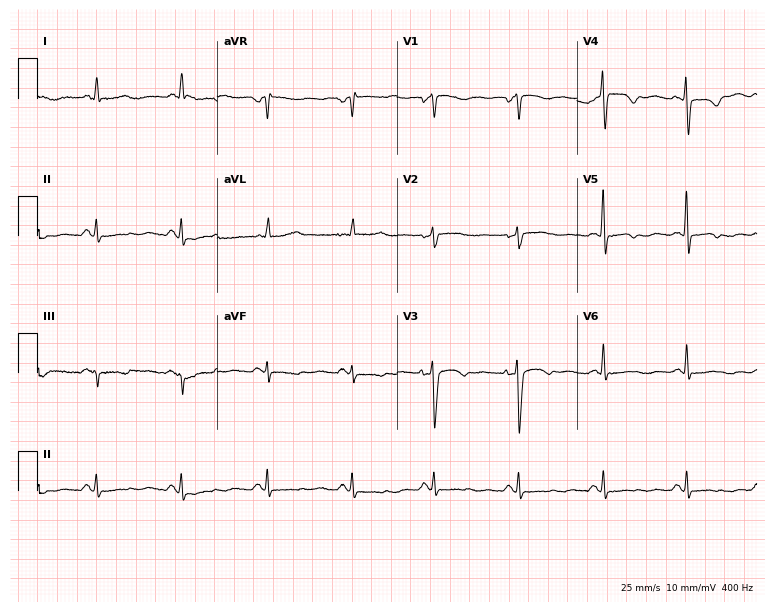
12-lead ECG from a 47-year-old female. Screened for six findings — first-degree AV block, right bundle branch block, left bundle branch block, sinus bradycardia, atrial fibrillation, sinus tachycardia — none is recorded.